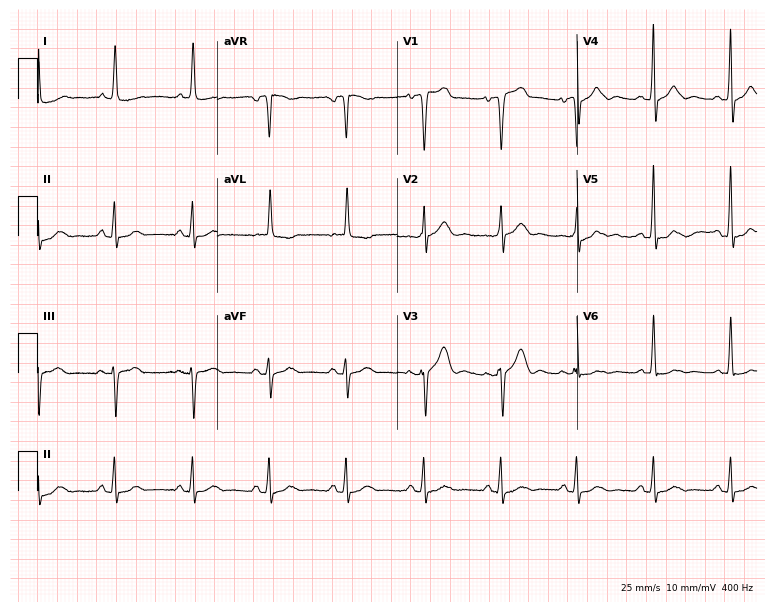
Resting 12-lead electrocardiogram (7.3-second recording at 400 Hz). Patient: a 77-year-old female. None of these six findings is recorded: first-degree AV block, right bundle branch block (RBBB), left bundle branch block (LBBB), sinus bradycardia, atrial fibrillation (AF), sinus tachycardia. Other findings, if any, are not listed.